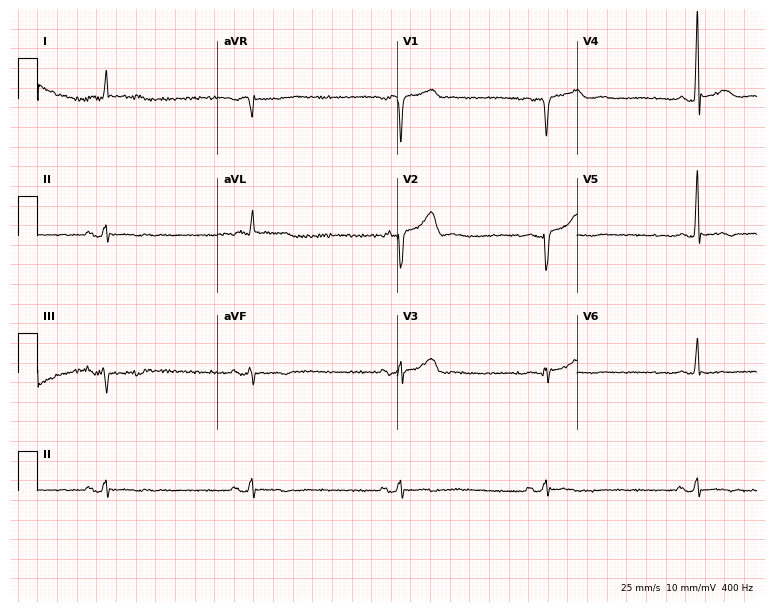
12-lead ECG from a male, 75 years old. No first-degree AV block, right bundle branch block, left bundle branch block, sinus bradycardia, atrial fibrillation or sinus tachycardia recorded for this tracing.